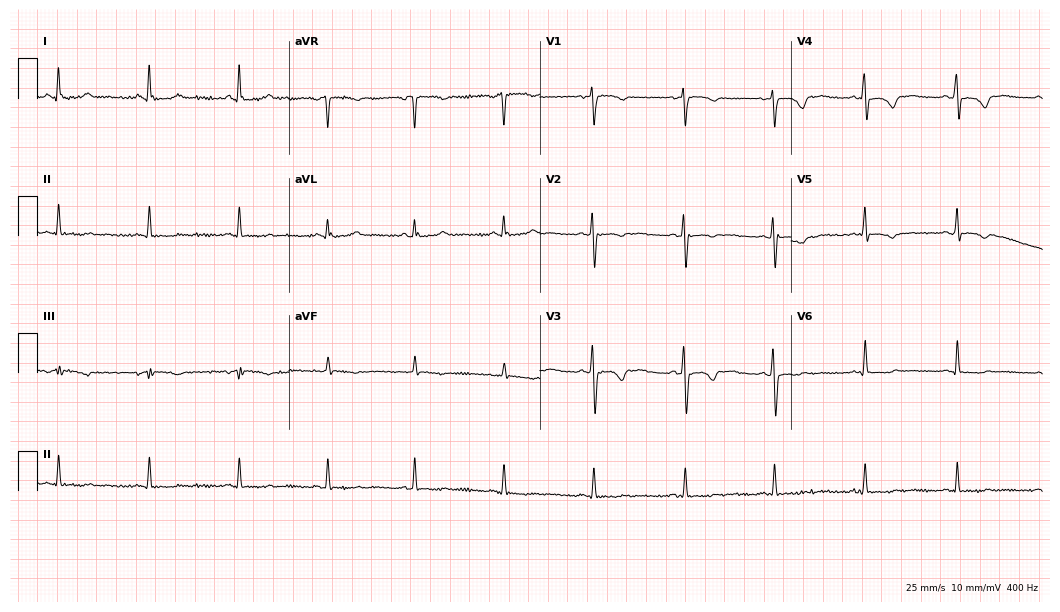
12-lead ECG from a 33-year-old female (10.2-second recording at 400 Hz). No first-degree AV block, right bundle branch block (RBBB), left bundle branch block (LBBB), sinus bradycardia, atrial fibrillation (AF) or sinus tachycardia recorded for this tracing. Only these six findings were labelled.